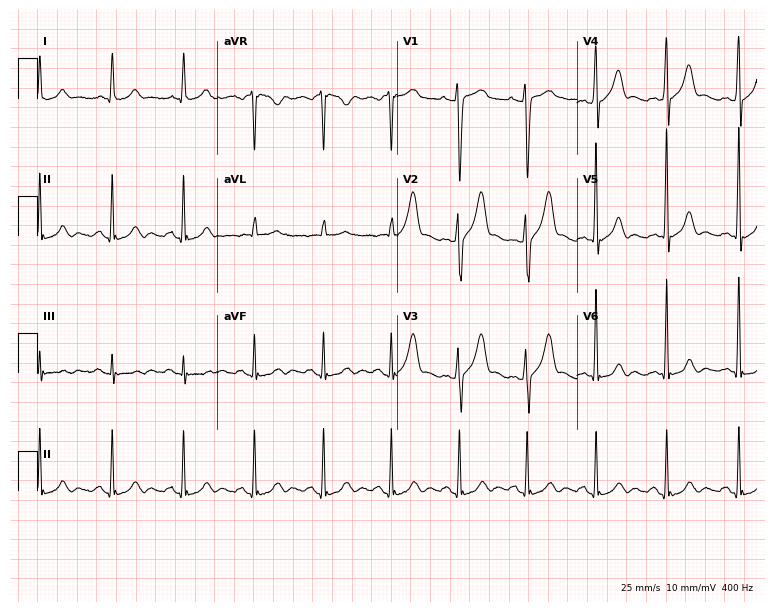
Standard 12-lead ECG recorded from a 51-year-old male patient (7.3-second recording at 400 Hz). Read as a normal ECG.